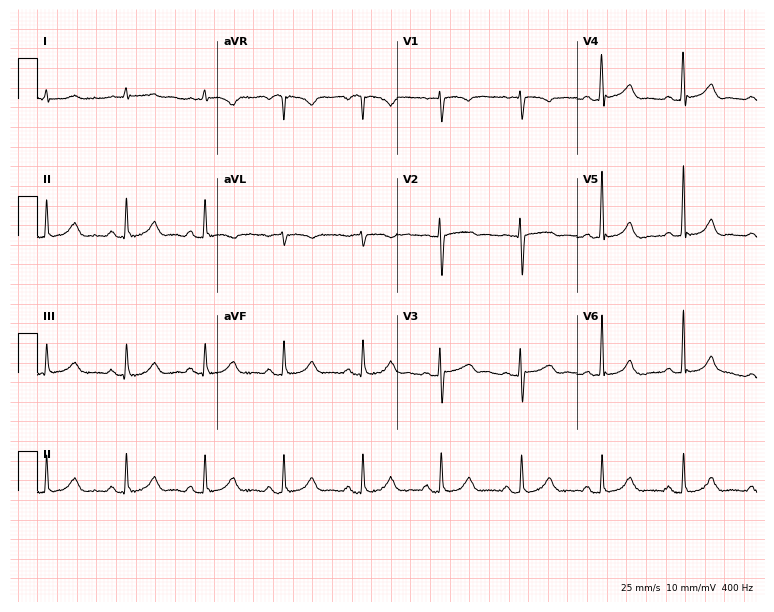
ECG — a 72-year-old male. Screened for six findings — first-degree AV block, right bundle branch block, left bundle branch block, sinus bradycardia, atrial fibrillation, sinus tachycardia — none is recorded.